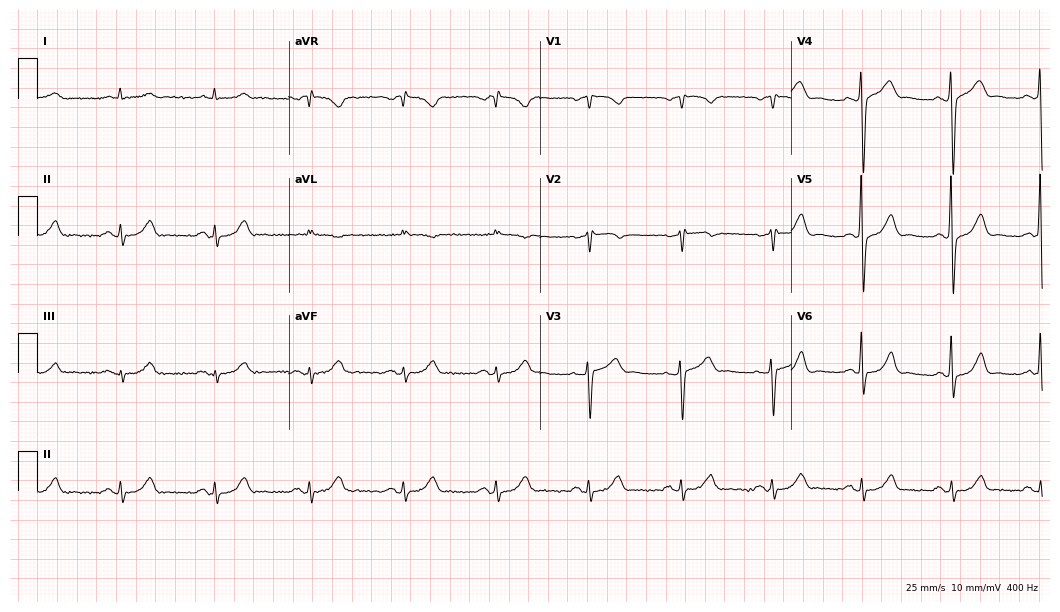
Electrocardiogram, a 74-year-old male patient. Of the six screened findings (first-degree AV block, right bundle branch block, left bundle branch block, sinus bradycardia, atrial fibrillation, sinus tachycardia), none is recorded.